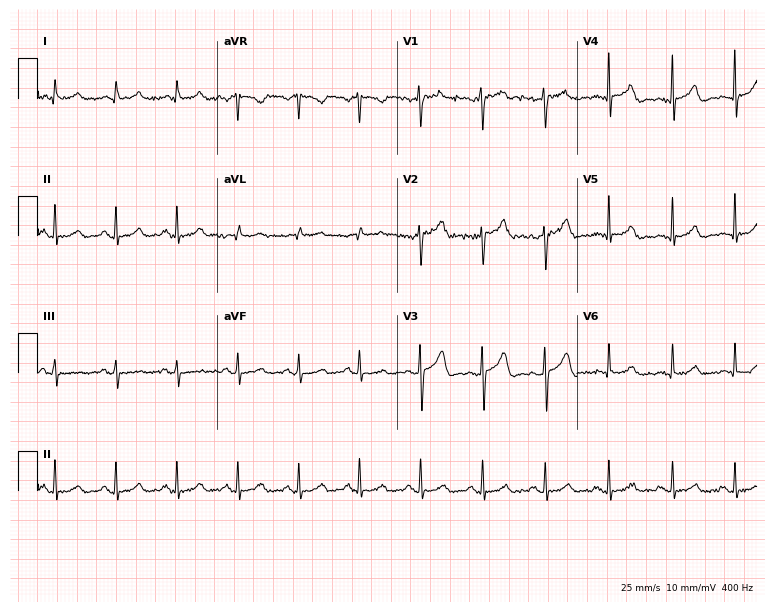
Standard 12-lead ECG recorded from a 51-year-old man. None of these six findings is recorded: first-degree AV block, right bundle branch block (RBBB), left bundle branch block (LBBB), sinus bradycardia, atrial fibrillation (AF), sinus tachycardia.